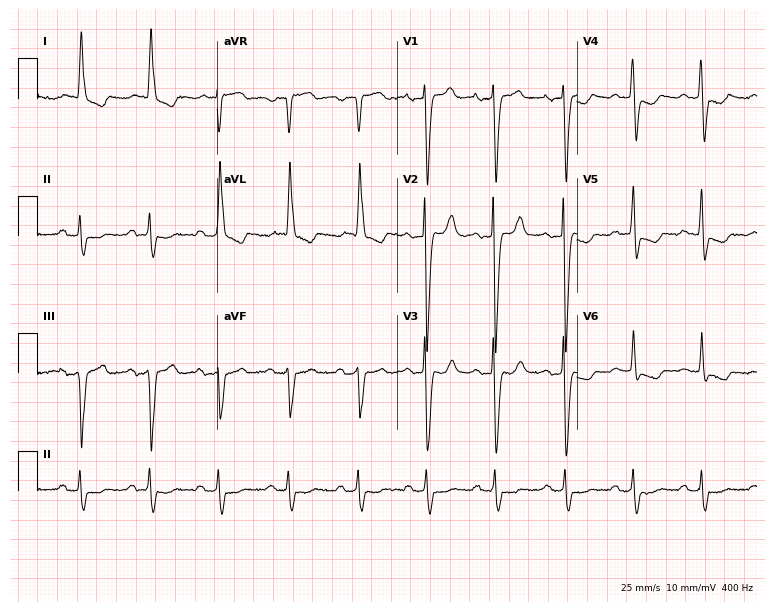
Electrocardiogram (7.3-second recording at 400 Hz), a 78-year-old female. Of the six screened findings (first-degree AV block, right bundle branch block (RBBB), left bundle branch block (LBBB), sinus bradycardia, atrial fibrillation (AF), sinus tachycardia), none is recorded. Other findings, if any, are not listed.